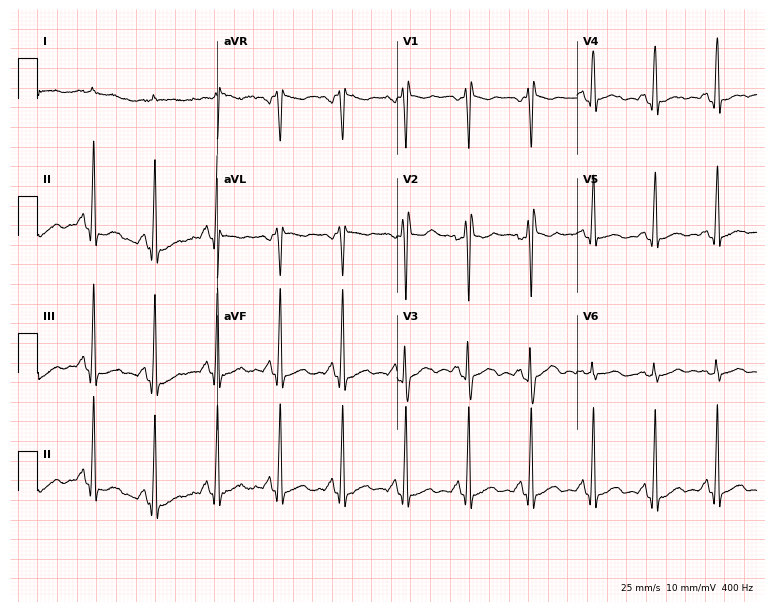
ECG — a 58-year-old man. Screened for six findings — first-degree AV block, right bundle branch block, left bundle branch block, sinus bradycardia, atrial fibrillation, sinus tachycardia — none is recorded.